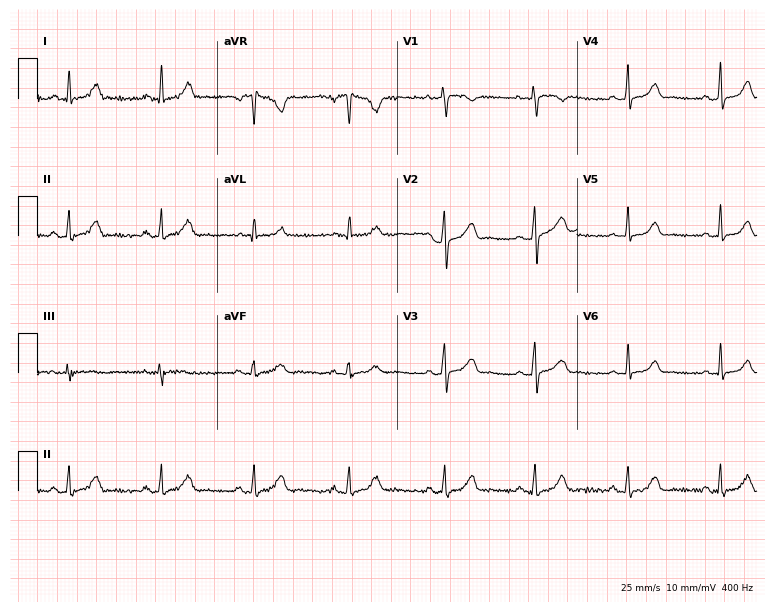
Electrocardiogram (7.3-second recording at 400 Hz), a female, 38 years old. Overall reading on record: normal ECG.